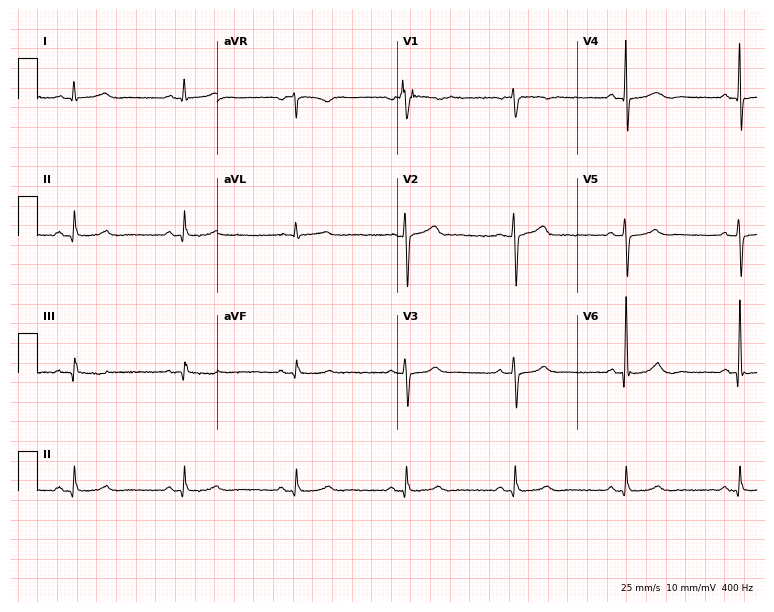
Resting 12-lead electrocardiogram. Patient: a 61-year-old male. Read as a normal ECG.